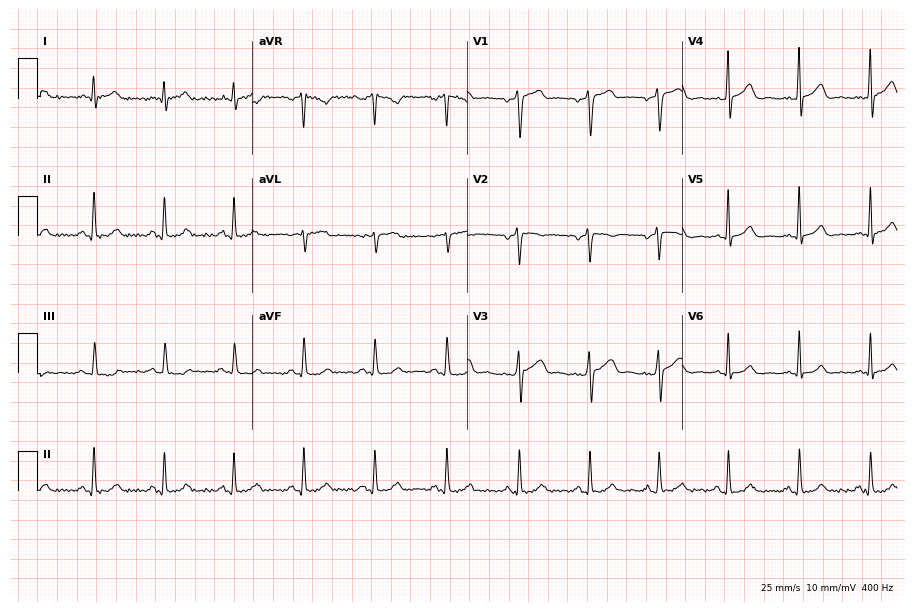
12-lead ECG from a 45-year-old male patient (8.8-second recording at 400 Hz). Recorded interpretation: within normal limits.